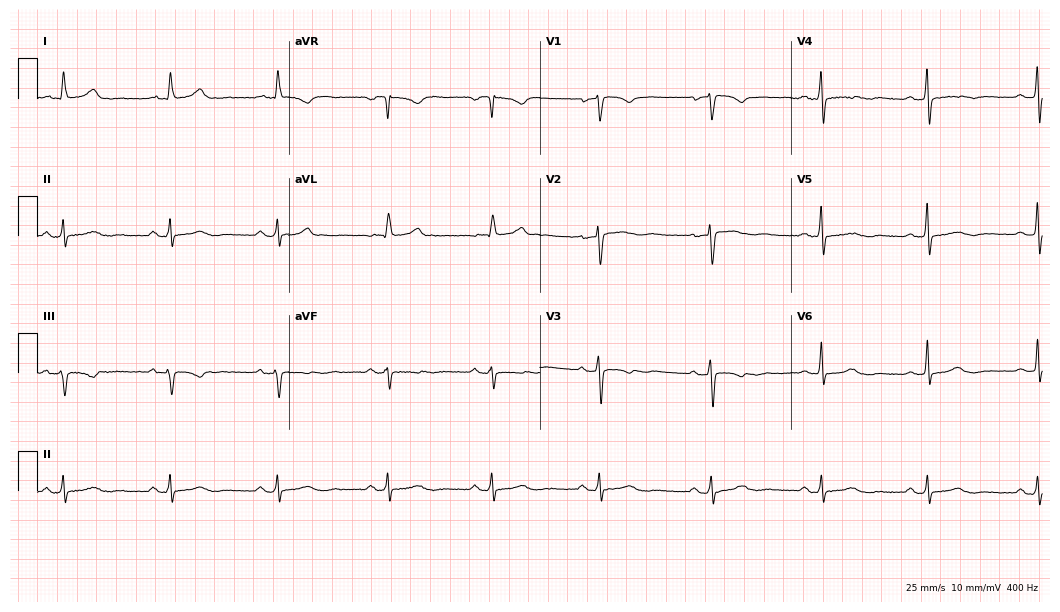
12-lead ECG from a 66-year-old woman (10.2-second recording at 400 Hz). No first-degree AV block, right bundle branch block, left bundle branch block, sinus bradycardia, atrial fibrillation or sinus tachycardia recorded for this tracing.